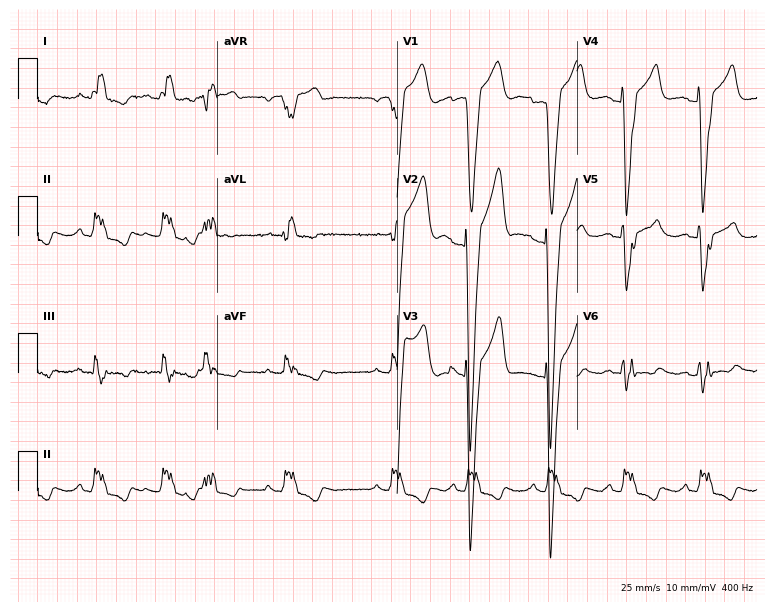
12-lead ECG from a man, 53 years old (7.3-second recording at 400 Hz). Shows left bundle branch block.